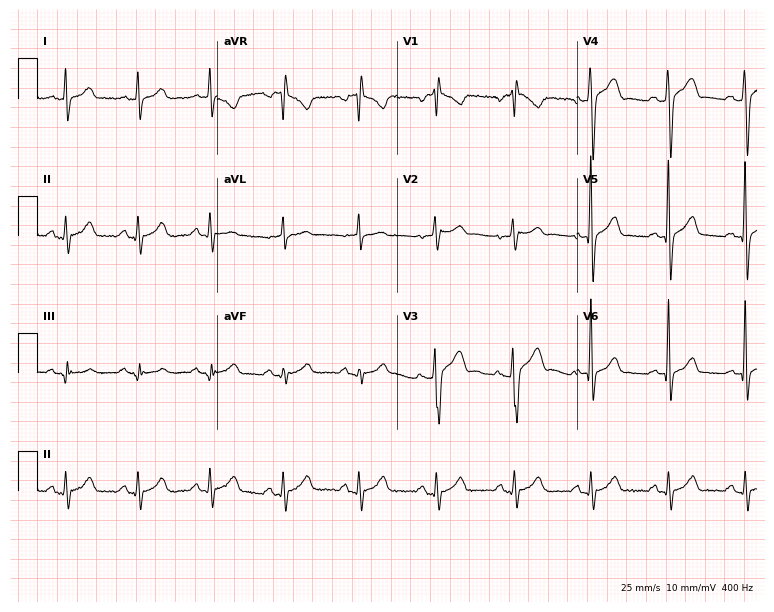
Electrocardiogram (7.3-second recording at 400 Hz), a 42-year-old male. Overall reading on record: normal ECG.